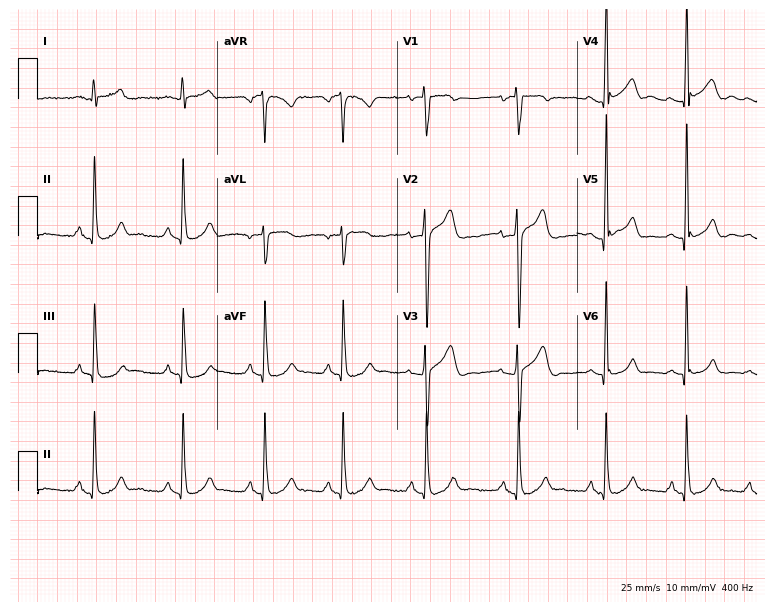
Standard 12-lead ECG recorded from a male patient, 21 years old (7.3-second recording at 400 Hz). Read as a normal ECG.